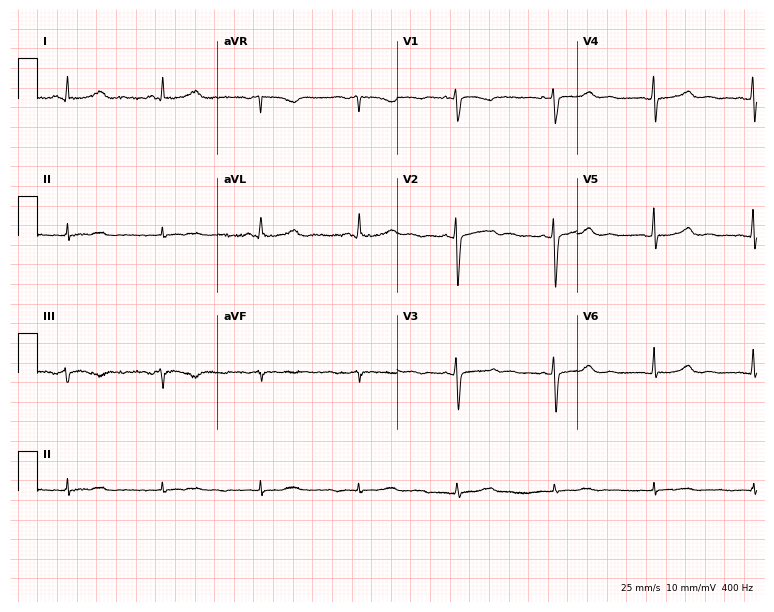
Electrocardiogram, a woman, 57 years old. Of the six screened findings (first-degree AV block, right bundle branch block, left bundle branch block, sinus bradycardia, atrial fibrillation, sinus tachycardia), none is recorded.